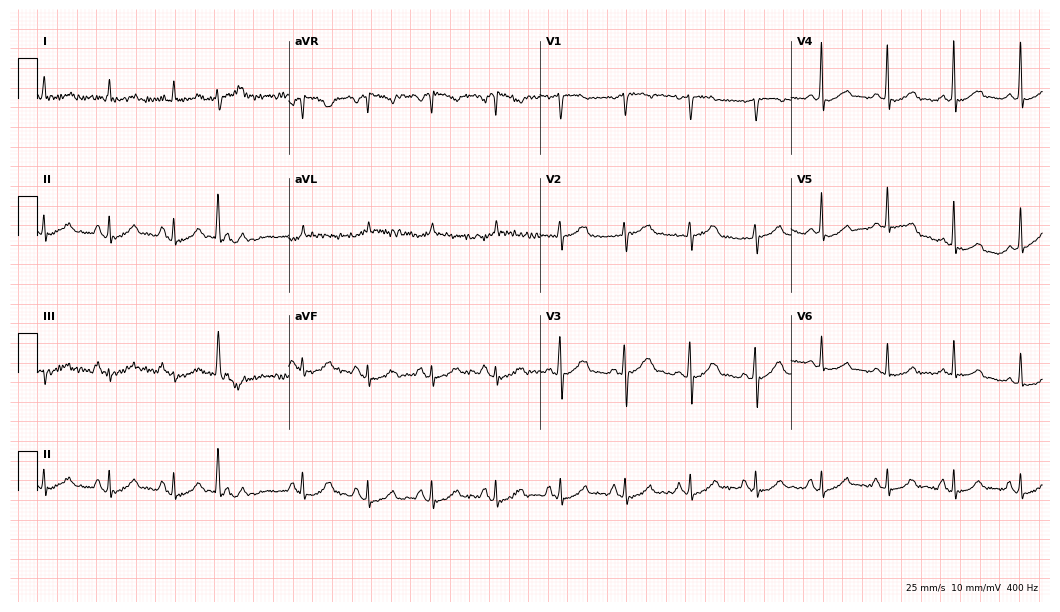
Resting 12-lead electrocardiogram. Patient: a 74-year-old woman. None of these six findings is recorded: first-degree AV block, right bundle branch block, left bundle branch block, sinus bradycardia, atrial fibrillation, sinus tachycardia.